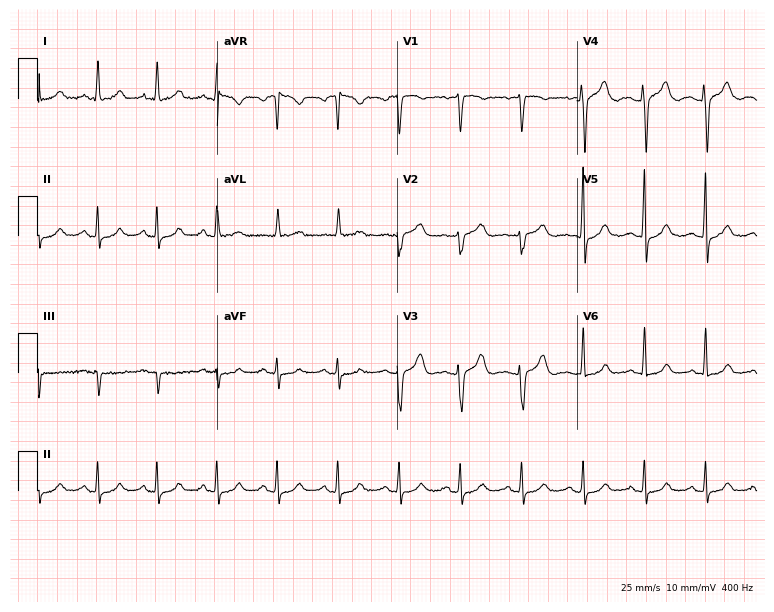
Electrocardiogram, a 64-year-old female patient. Of the six screened findings (first-degree AV block, right bundle branch block (RBBB), left bundle branch block (LBBB), sinus bradycardia, atrial fibrillation (AF), sinus tachycardia), none is recorded. Other findings, if any, are not listed.